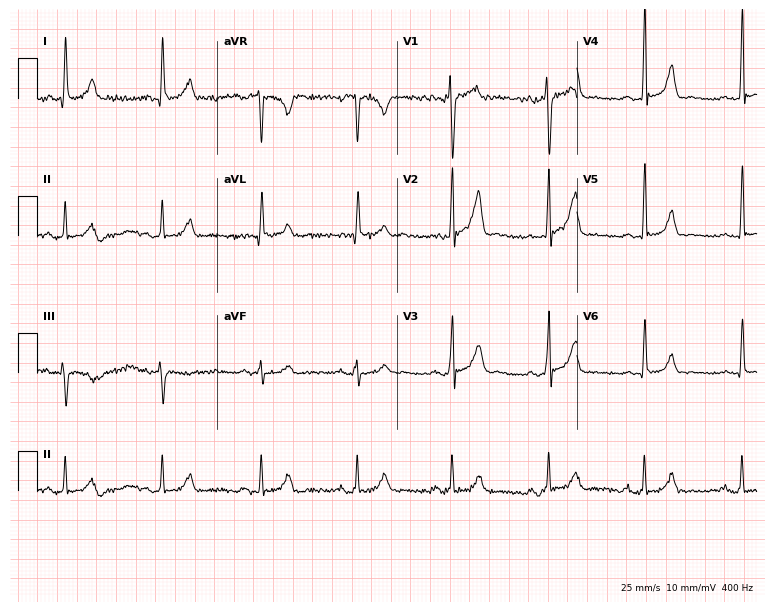
12-lead ECG from a 45-year-old male (7.3-second recording at 400 Hz). Recorded interpretation: within normal limits.